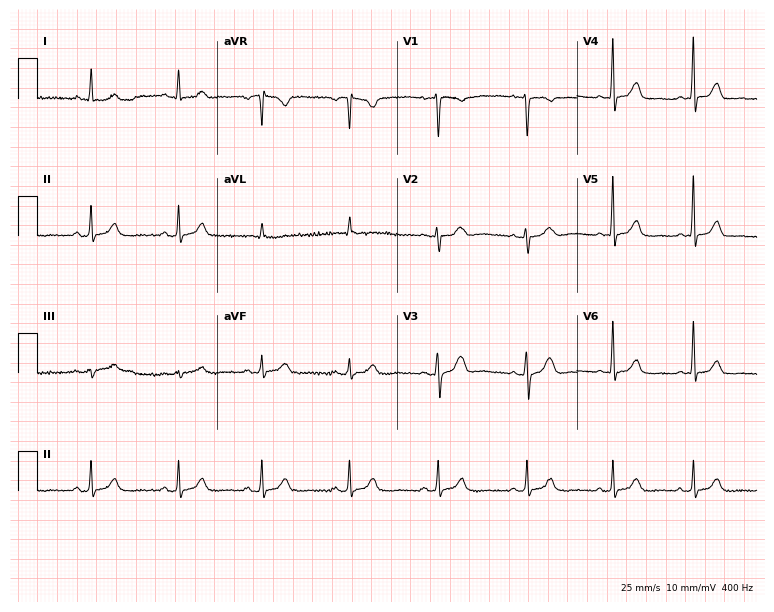
12-lead ECG from a female patient, 36 years old (7.3-second recording at 400 Hz). Recorded interpretation: within normal limits.